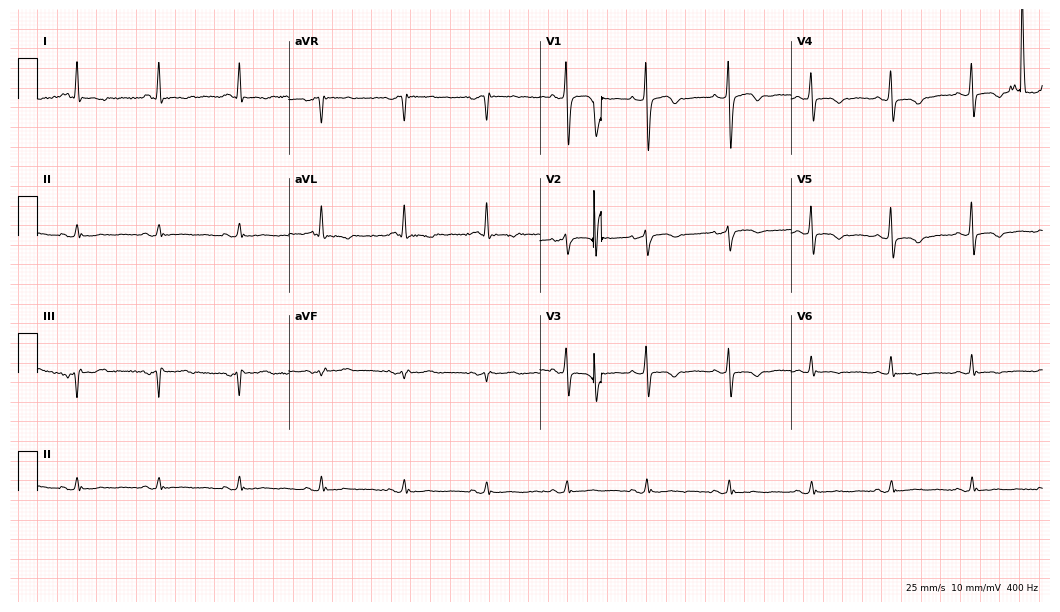
Electrocardiogram, a 74-year-old woman. Of the six screened findings (first-degree AV block, right bundle branch block (RBBB), left bundle branch block (LBBB), sinus bradycardia, atrial fibrillation (AF), sinus tachycardia), none is recorded. Findings outside these six are not listed.